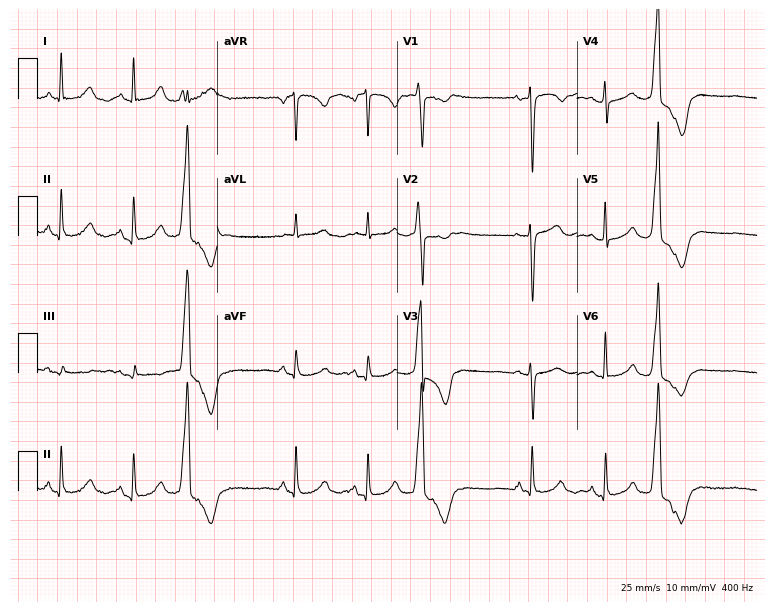
12-lead ECG from a woman, 54 years old. No first-degree AV block, right bundle branch block (RBBB), left bundle branch block (LBBB), sinus bradycardia, atrial fibrillation (AF) or sinus tachycardia recorded for this tracing. Only these six findings were labelled.